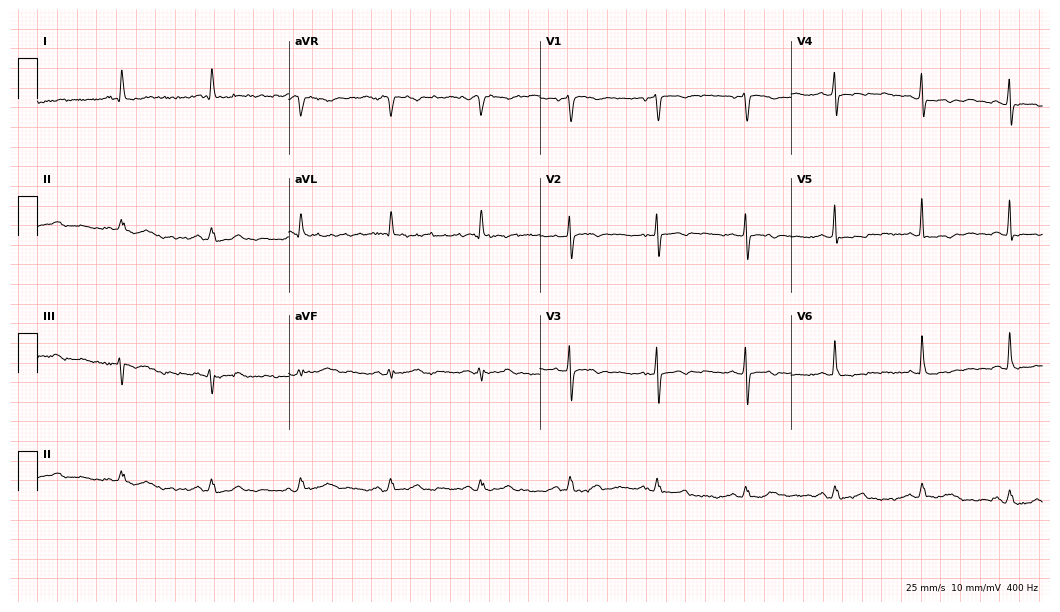
12-lead ECG from a 70-year-old female patient. No first-degree AV block, right bundle branch block (RBBB), left bundle branch block (LBBB), sinus bradycardia, atrial fibrillation (AF) or sinus tachycardia recorded for this tracing.